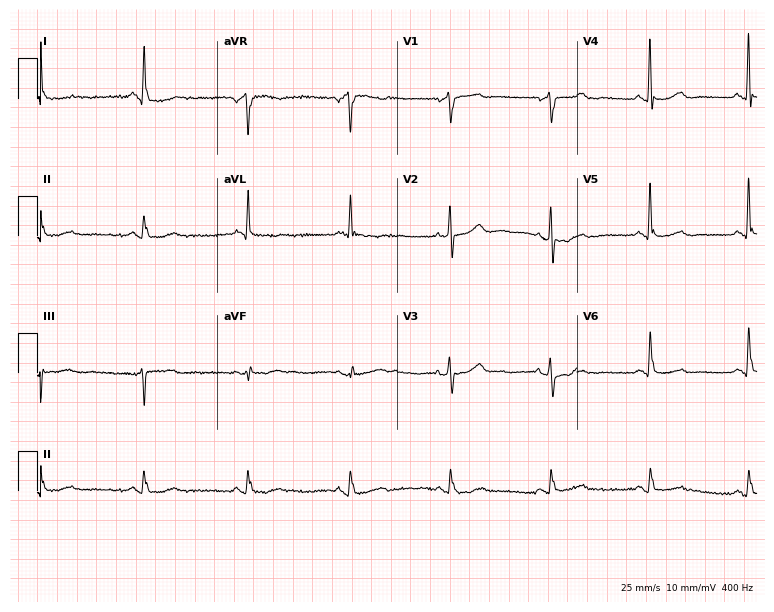
Standard 12-lead ECG recorded from an 83-year-old man (7.3-second recording at 400 Hz). None of these six findings is recorded: first-degree AV block, right bundle branch block, left bundle branch block, sinus bradycardia, atrial fibrillation, sinus tachycardia. Other findings, if any, are not listed.